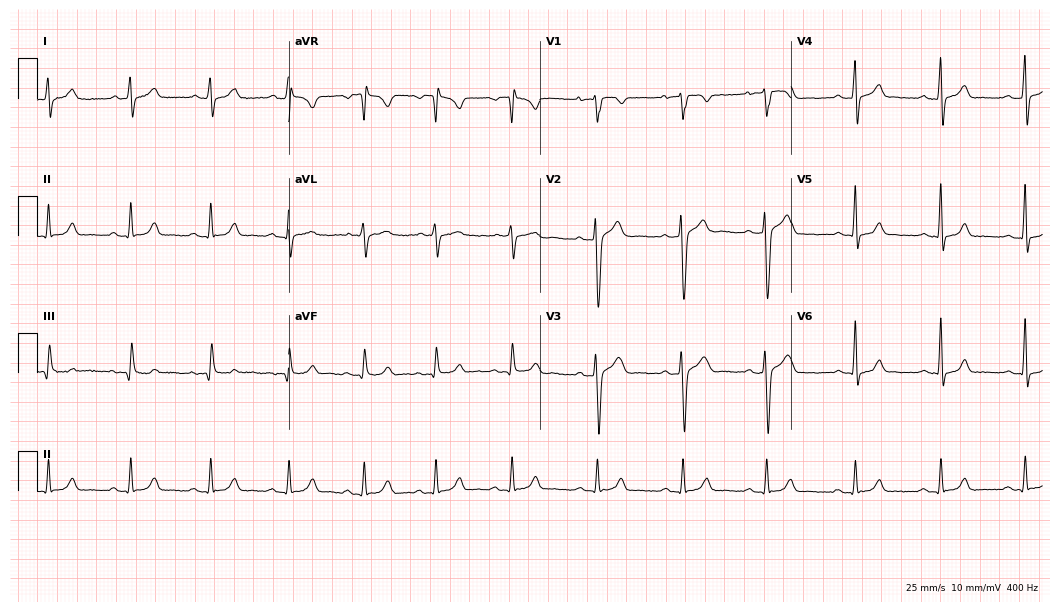
12-lead ECG (10.2-second recording at 400 Hz) from a 34-year-old male. Screened for six findings — first-degree AV block, right bundle branch block, left bundle branch block, sinus bradycardia, atrial fibrillation, sinus tachycardia — none is recorded.